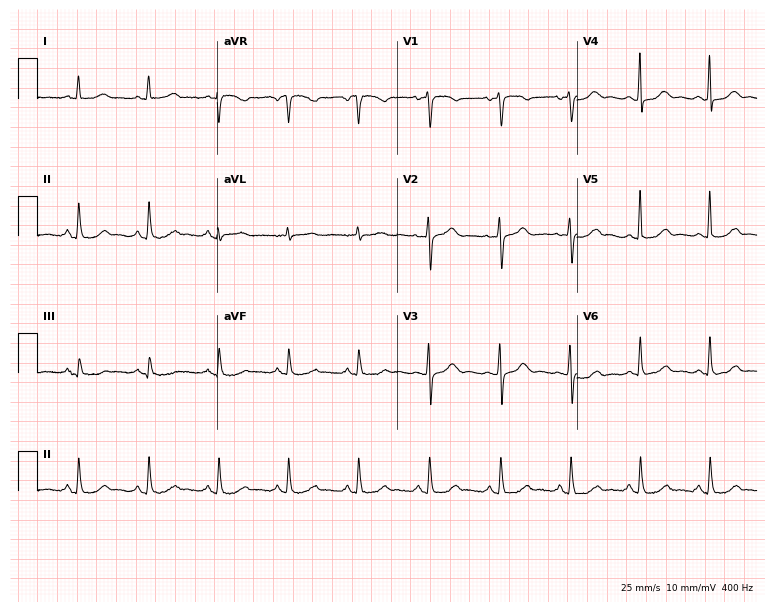
12-lead ECG from a 72-year-old woman (7.3-second recording at 400 Hz). Recorded interpretation: within normal limits.